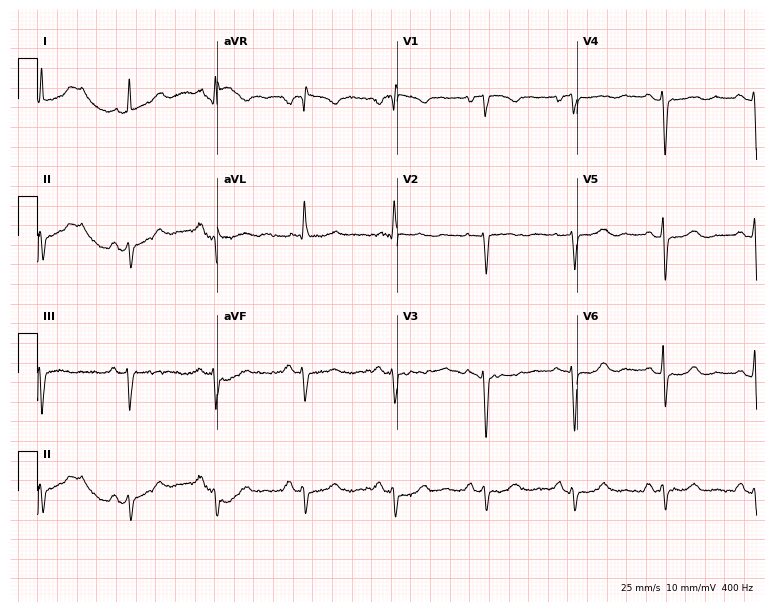
Resting 12-lead electrocardiogram (7.3-second recording at 400 Hz). Patient: a female, 64 years old. None of these six findings is recorded: first-degree AV block, right bundle branch block, left bundle branch block, sinus bradycardia, atrial fibrillation, sinus tachycardia. Only these six findings were labelled.